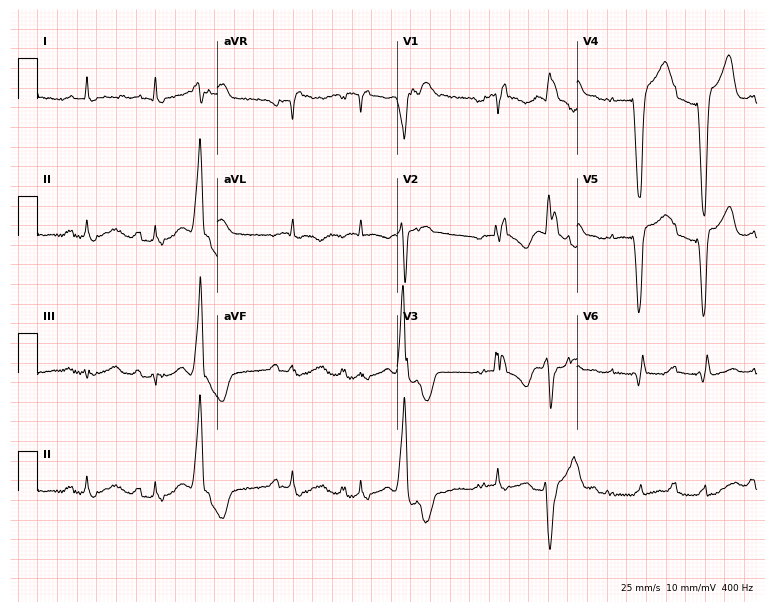
12-lead ECG from a female, 80 years old (7.3-second recording at 400 Hz). Shows right bundle branch block.